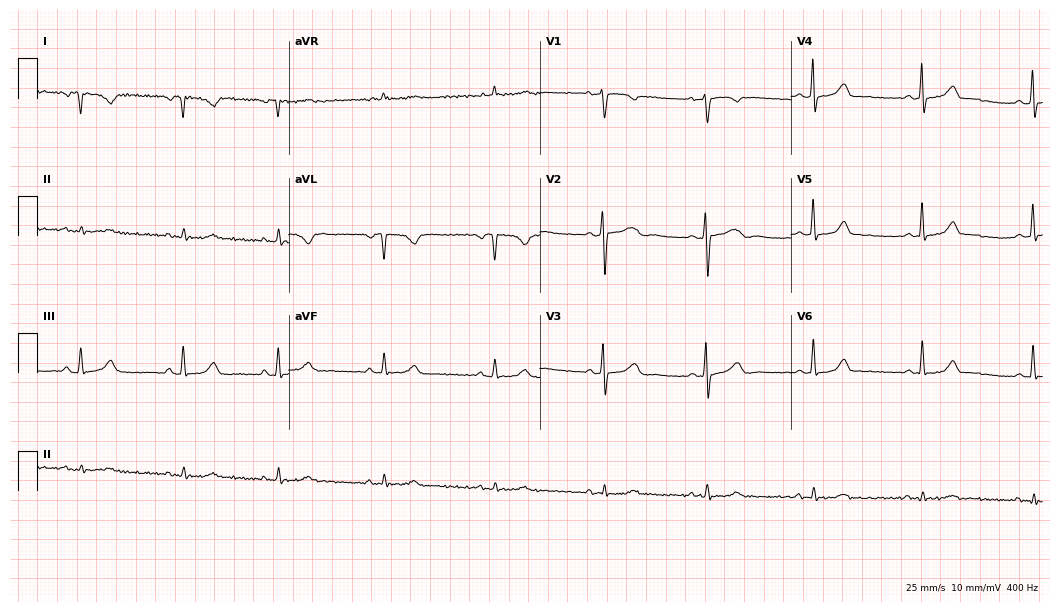
Standard 12-lead ECG recorded from a 27-year-old female (10.2-second recording at 400 Hz). None of these six findings is recorded: first-degree AV block, right bundle branch block, left bundle branch block, sinus bradycardia, atrial fibrillation, sinus tachycardia.